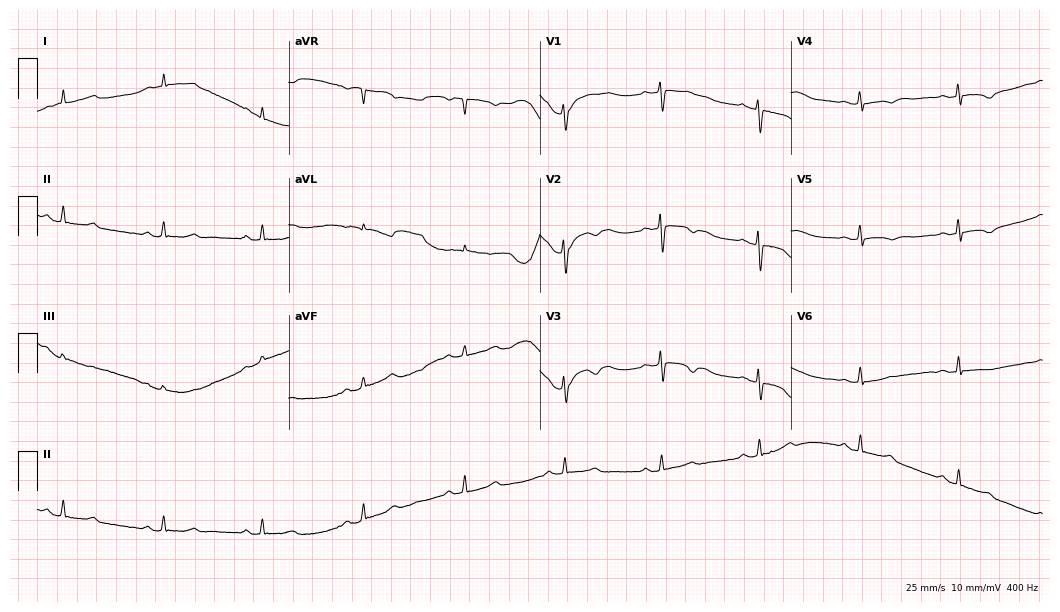
12-lead ECG from a 51-year-old woman (10.2-second recording at 400 Hz). No first-degree AV block, right bundle branch block, left bundle branch block, sinus bradycardia, atrial fibrillation or sinus tachycardia recorded for this tracing. Other findings, if any, are not listed.